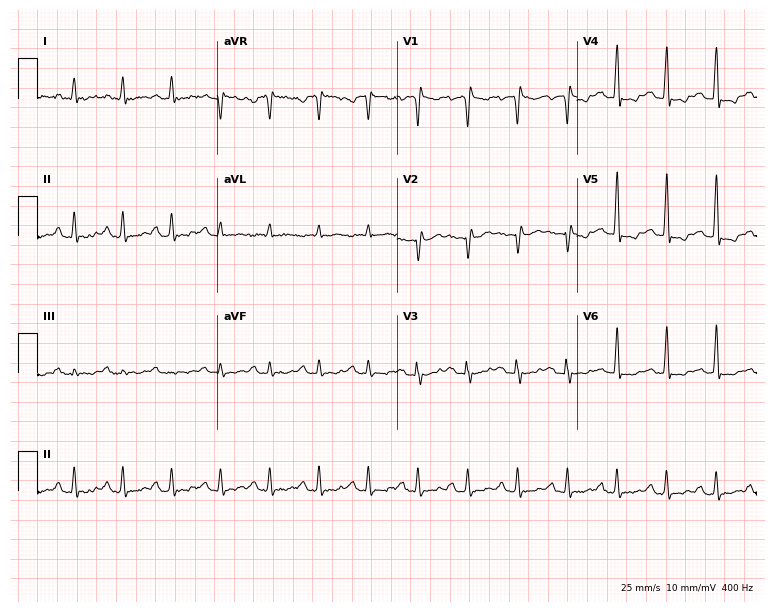
Standard 12-lead ECG recorded from a man, 55 years old (7.3-second recording at 400 Hz). The tracing shows sinus tachycardia (a sinus rate of 100 beats per minute or more).